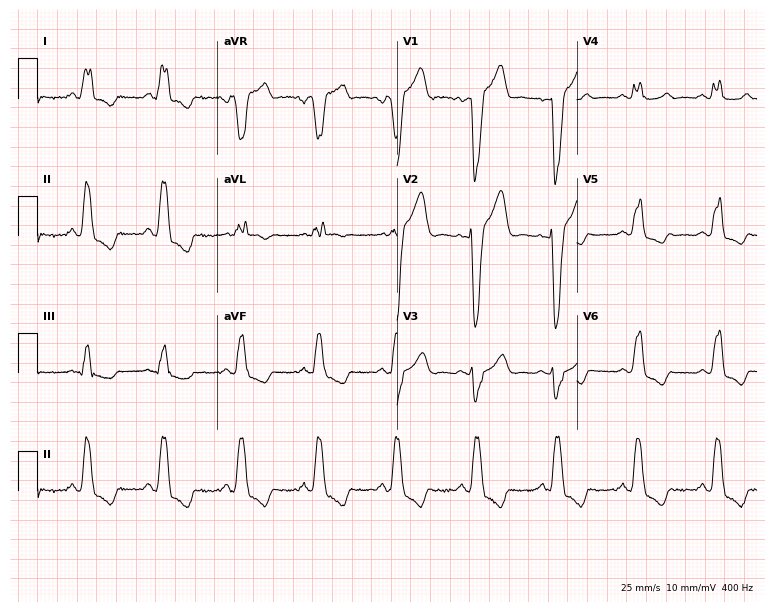
Electrocardiogram (7.3-second recording at 400 Hz), a 63-year-old female. Interpretation includes left bundle branch block.